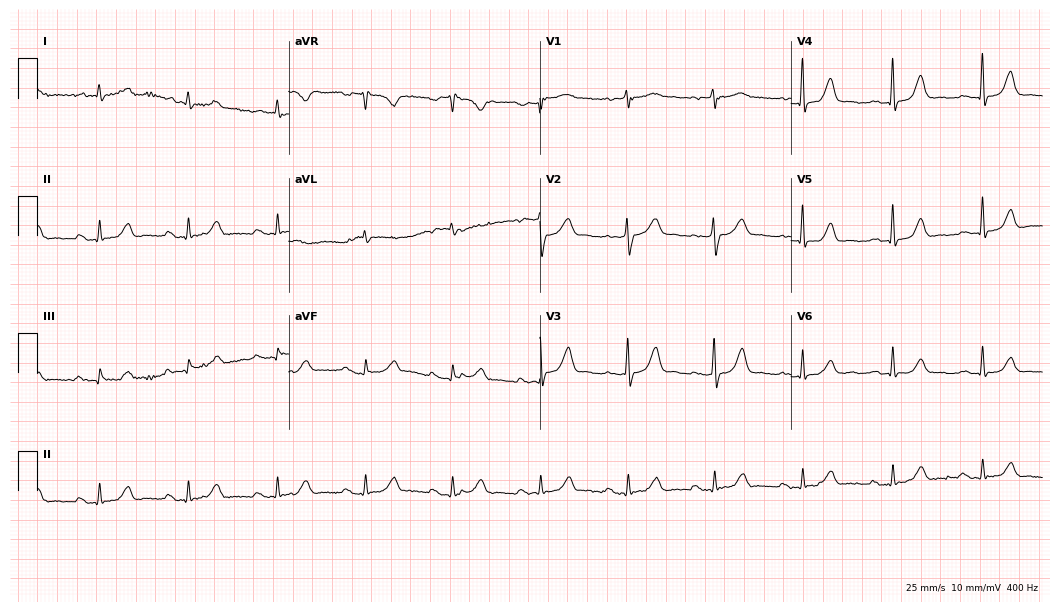
12-lead ECG from a female, 84 years old. Shows first-degree AV block.